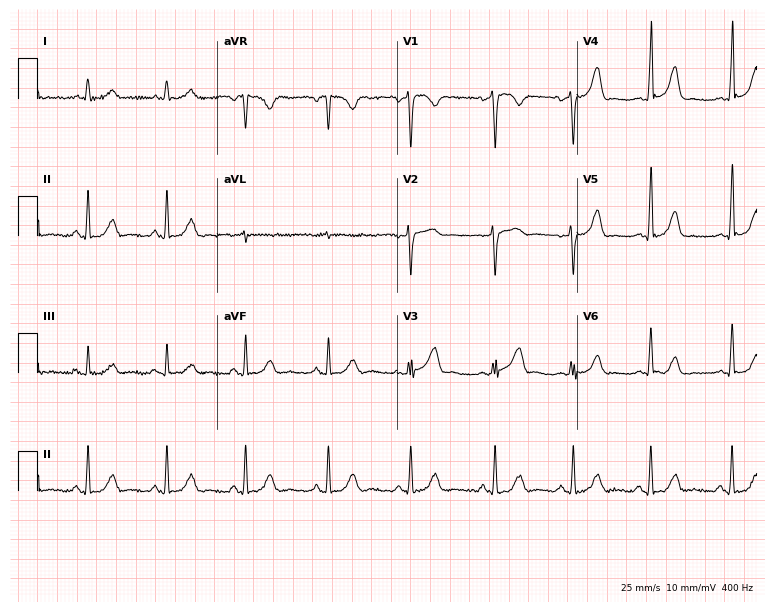
12-lead ECG from a 40-year-old female patient. Screened for six findings — first-degree AV block, right bundle branch block (RBBB), left bundle branch block (LBBB), sinus bradycardia, atrial fibrillation (AF), sinus tachycardia — none is recorded. Findings outside these six are not listed.